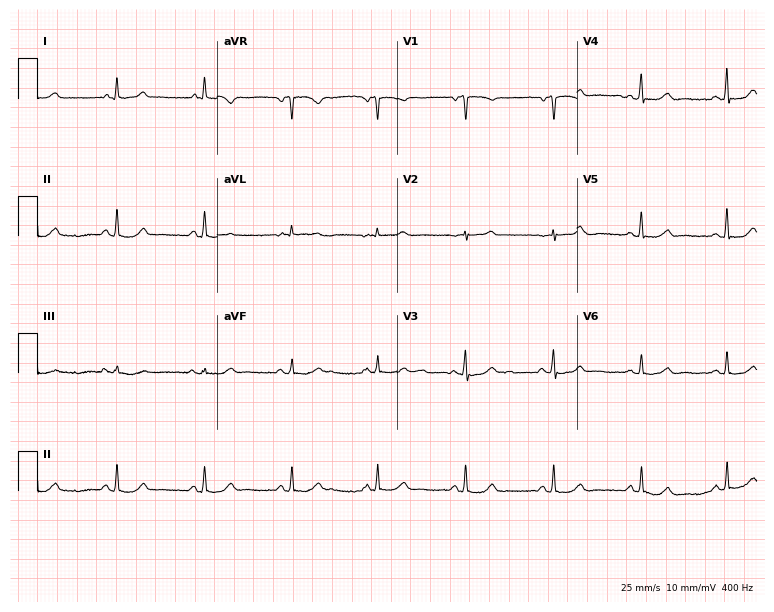
12-lead ECG (7.3-second recording at 400 Hz) from a female, 63 years old. Screened for six findings — first-degree AV block, right bundle branch block, left bundle branch block, sinus bradycardia, atrial fibrillation, sinus tachycardia — none is recorded.